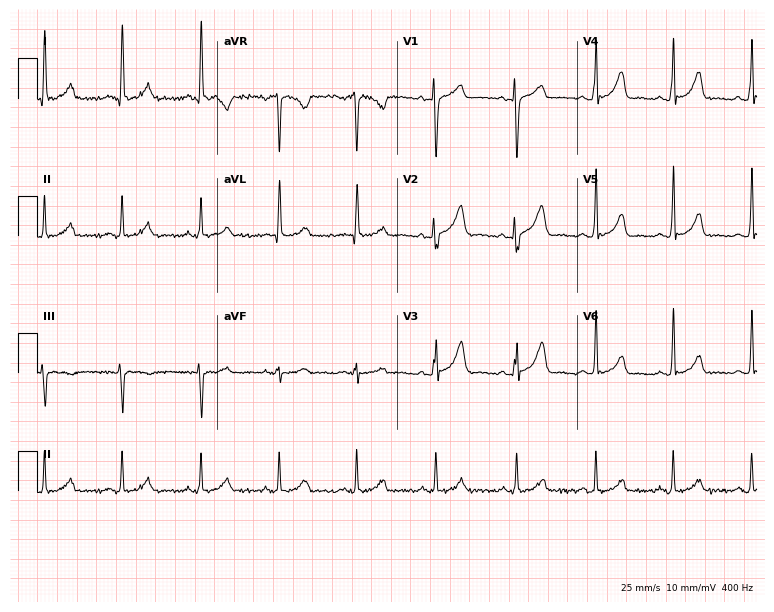
Resting 12-lead electrocardiogram (7.3-second recording at 400 Hz). Patient: a 39-year-old woman. Read as a normal ECG.